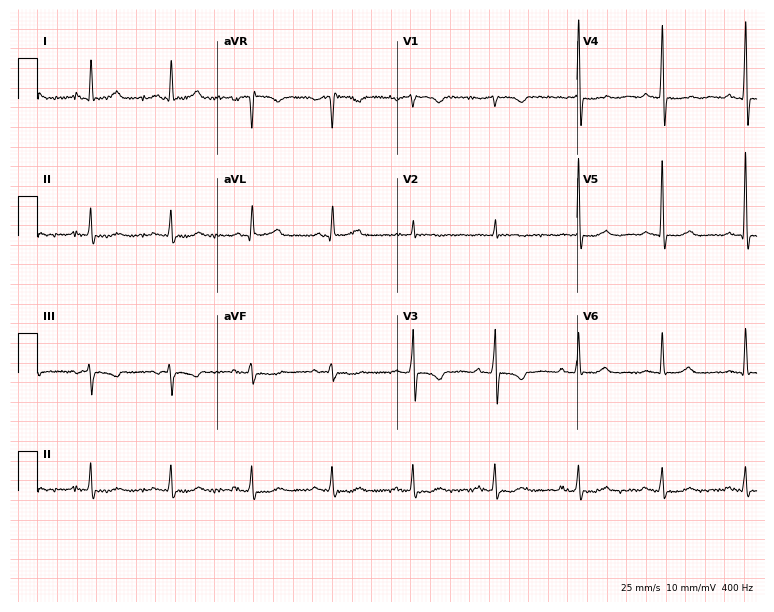
12-lead ECG from a female patient, 71 years old. Screened for six findings — first-degree AV block, right bundle branch block (RBBB), left bundle branch block (LBBB), sinus bradycardia, atrial fibrillation (AF), sinus tachycardia — none is recorded. Only these six findings were labelled.